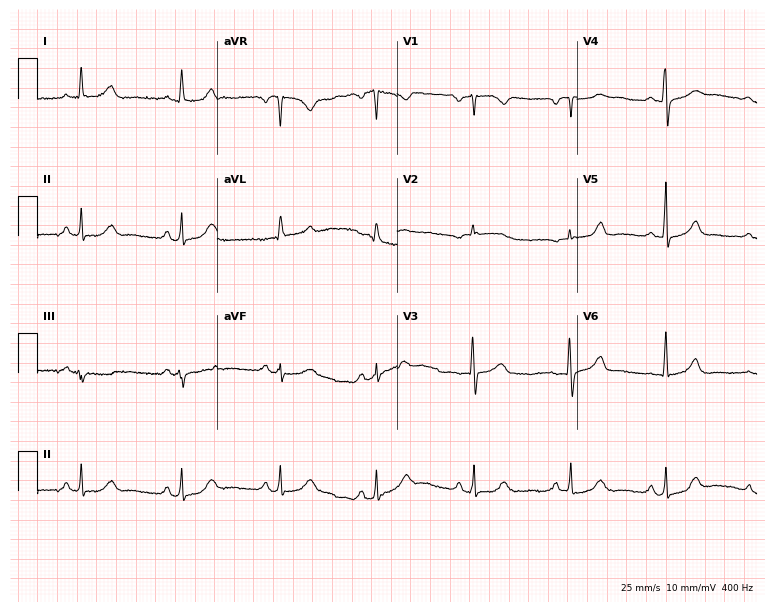
12-lead ECG from a woman, 65 years old (7.3-second recording at 400 Hz). Recorded interpretation: within normal limits.